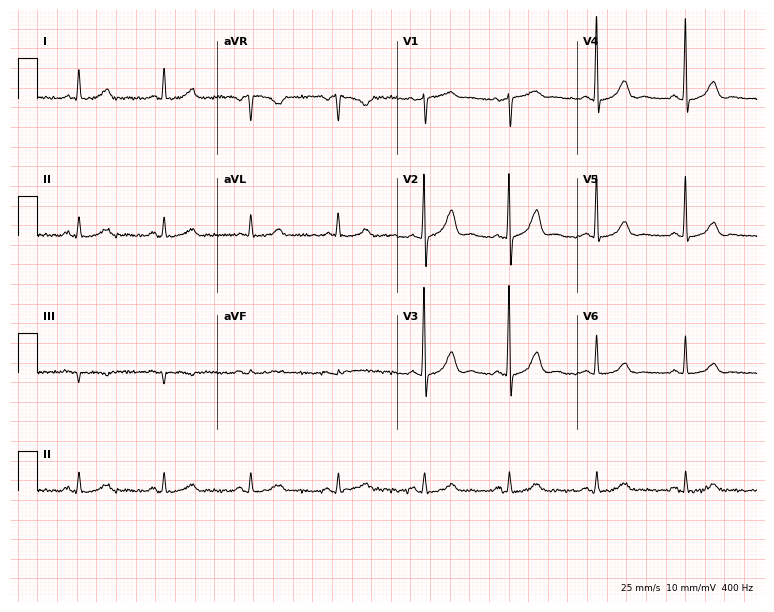
Resting 12-lead electrocardiogram (7.3-second recording at 400 Hz). Patient: a 69-year-old woman. Read as a normal ECG.